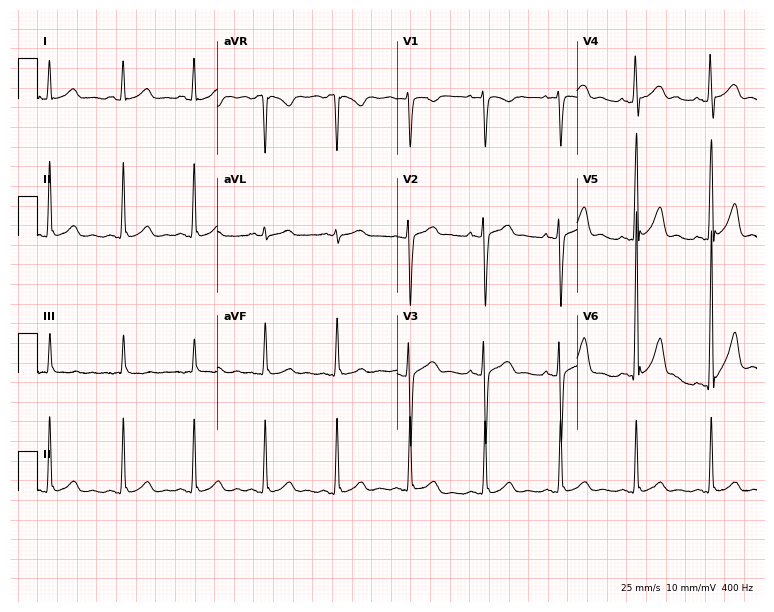
Standard 12-lead ECG recorded from a man, 35 years old (7.3-second recording at 400 Hz). Read as a normal ECG.